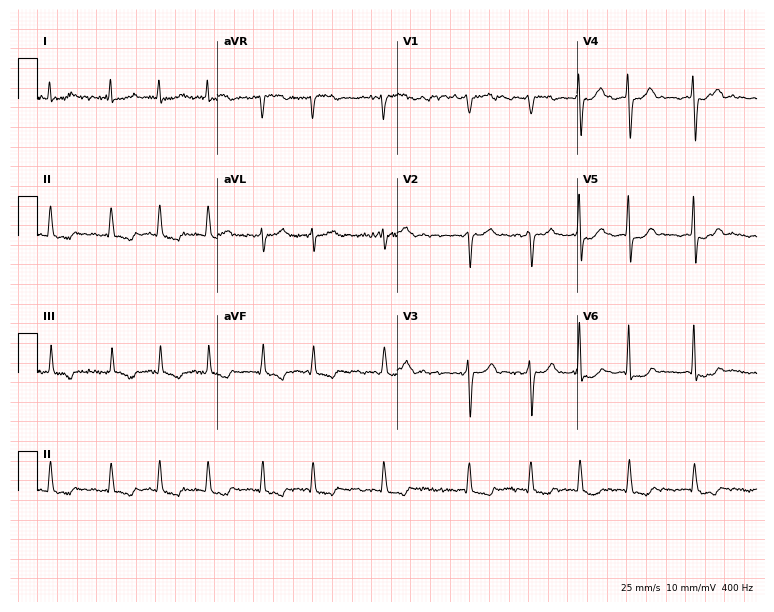
Electrocardiogram (7.3-second recording at 400 Hz), a 68-year-old male. Interpretation includes atrial fibrillation (AF).